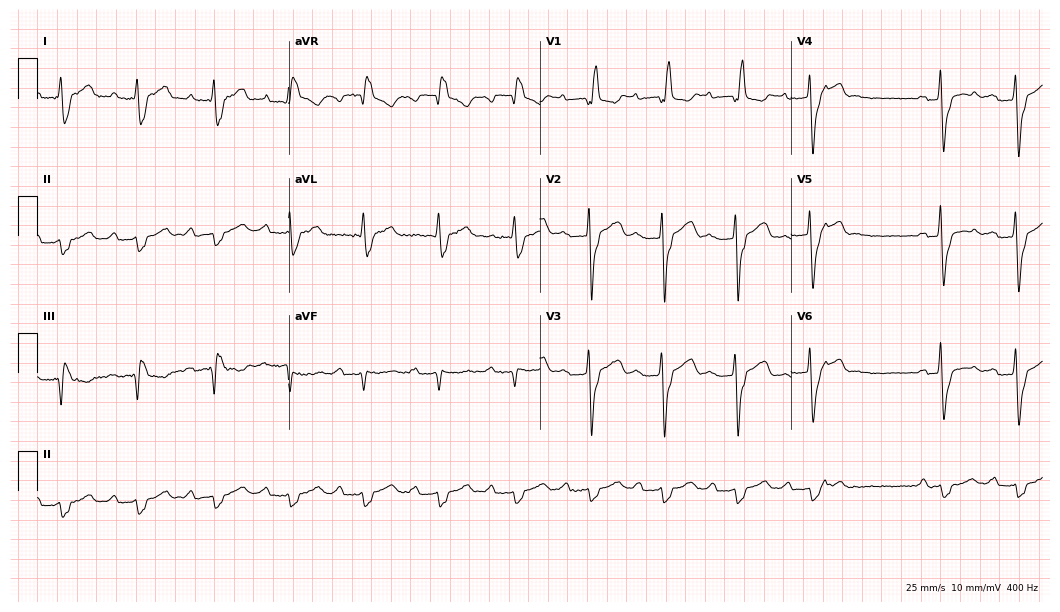
12-lead ECG from a 73-year-old male patient (10.2-second recording at 400 Hz). Shows first-degree AV block, right bundle branch block (RBBB).